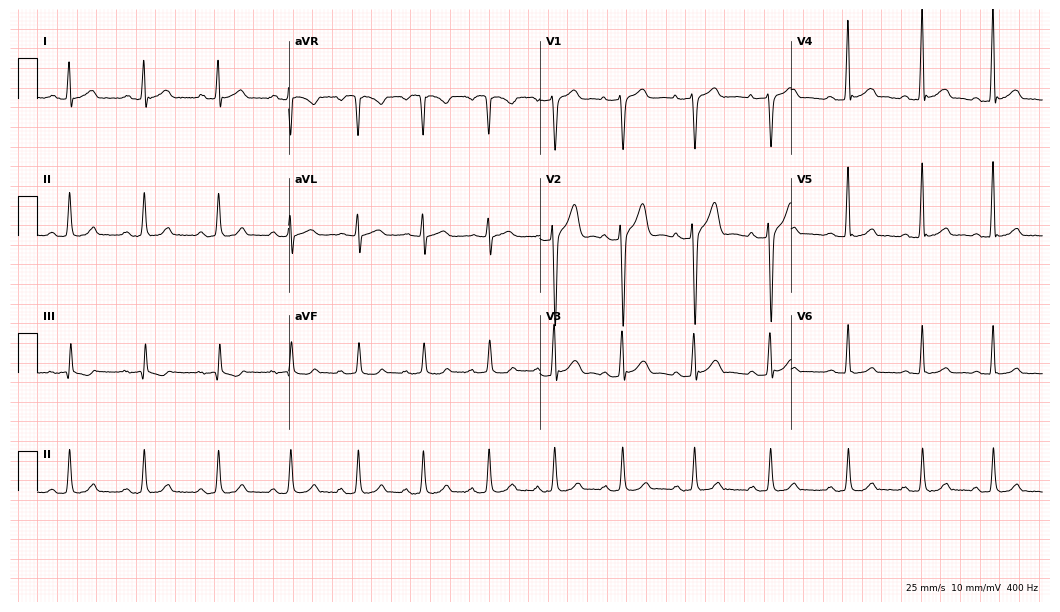
Electrocardiogram (10.2-second recording at 400 Hz), a 34-year-old male patient. Overall reading on record: normal ECG.